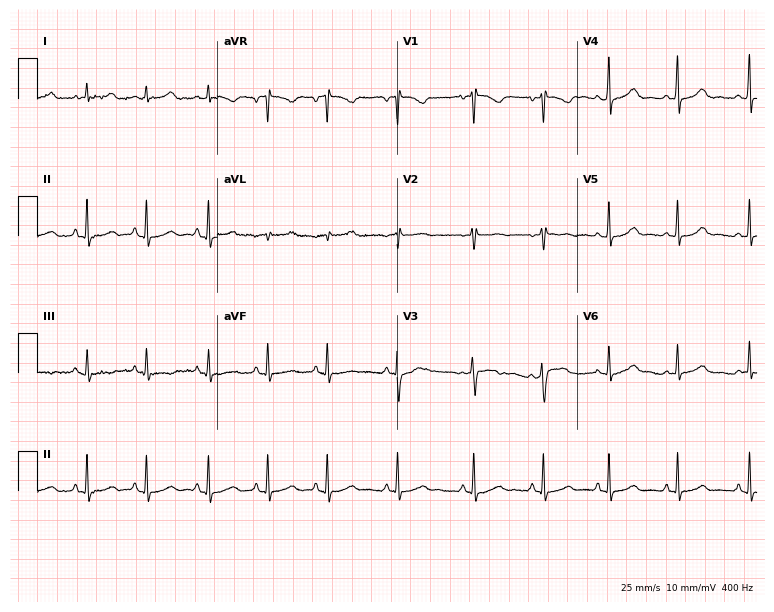
12-lead ECG from a woman, 22 years old (7.3-second recording at 400 Hz). Recorded interpretation: within normal limits.